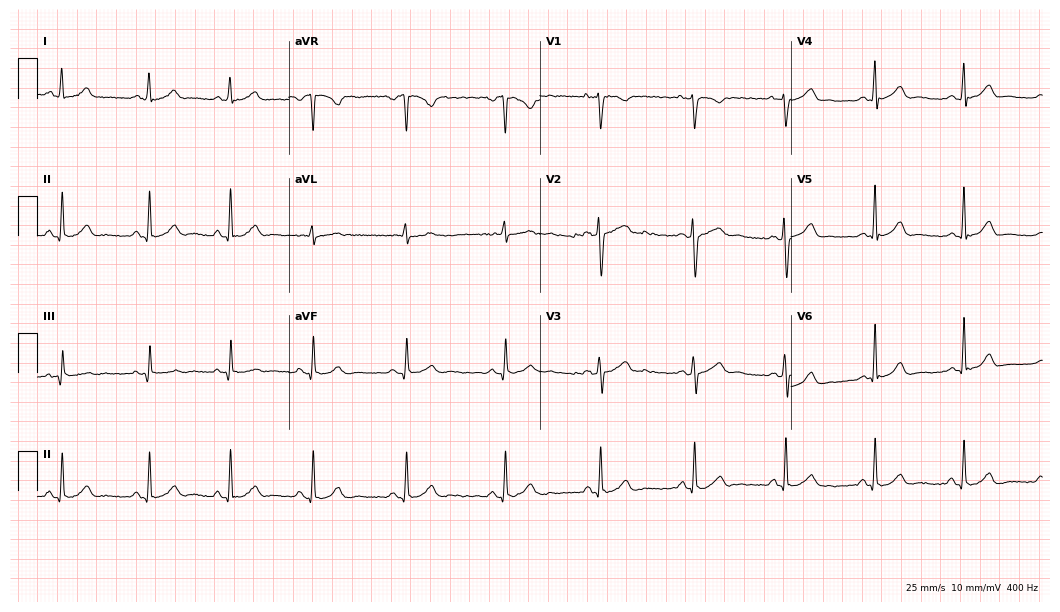
ECG (10.2-second recording at 400 Hz) — a 27-year-old woman. Labelled as a normal ECG.